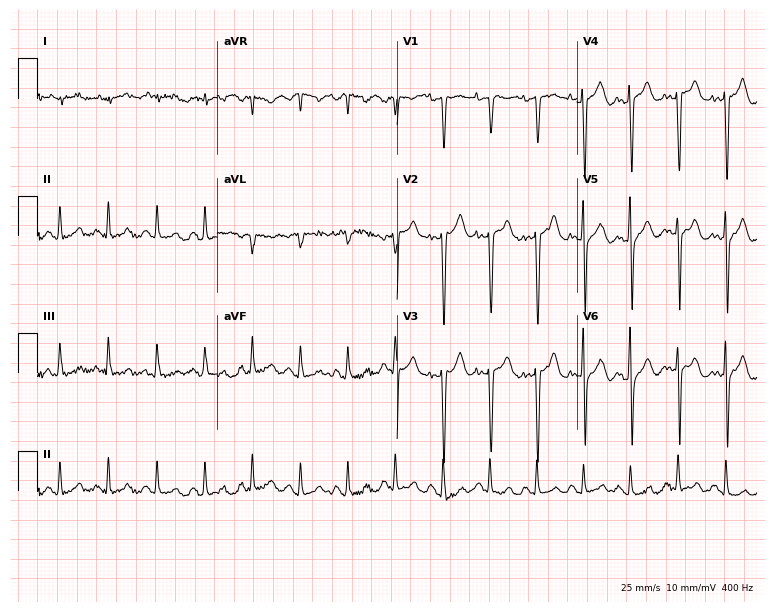
Electrocardiogram, a 75-year-old man. Of the six screened findings (first-degree AV block, right bundle branch block (RBBB), left bundle branch block (LBBB), sinus bradycardia, atrial fibrillation (AF), sinus tachycardia), none is recorded. Other findings, if any, are not listed.